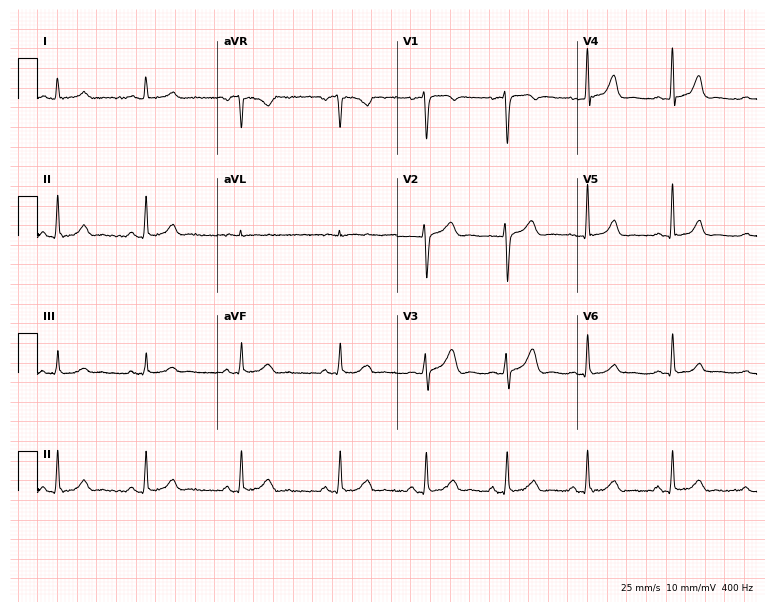
12-lead ECG from a woman, 28 years old. Screened for six findings — first-degree AV block, right bundle branch block (RBBB), left bundle branch block (LBBB), sinus bradycardia, atrial fibrillation (AF), sinus tachycardia — none is recorded.